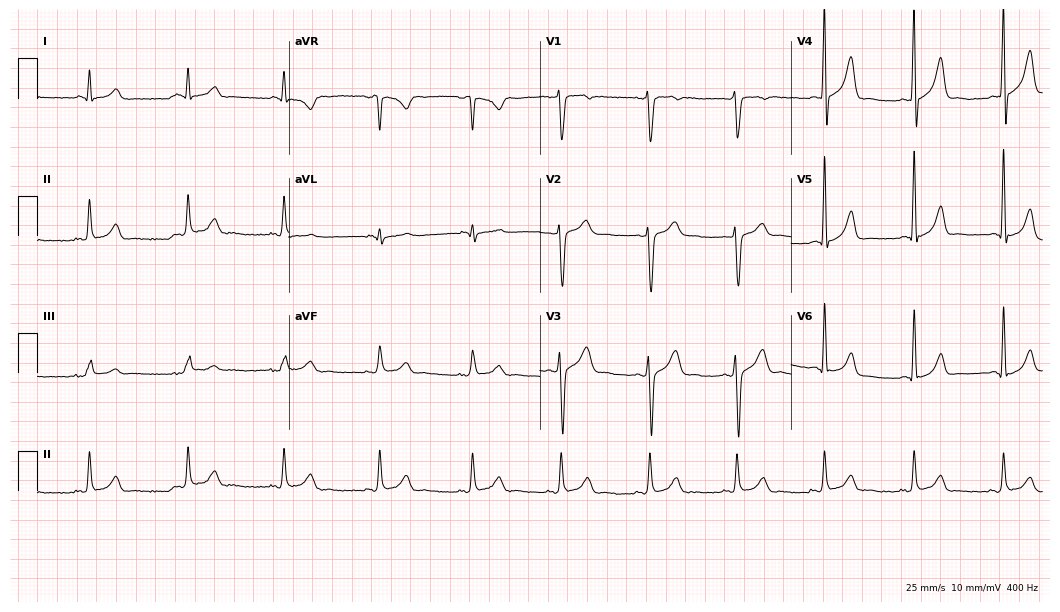
ECG — a 34-year-old man. Labelled as a normal ECG.